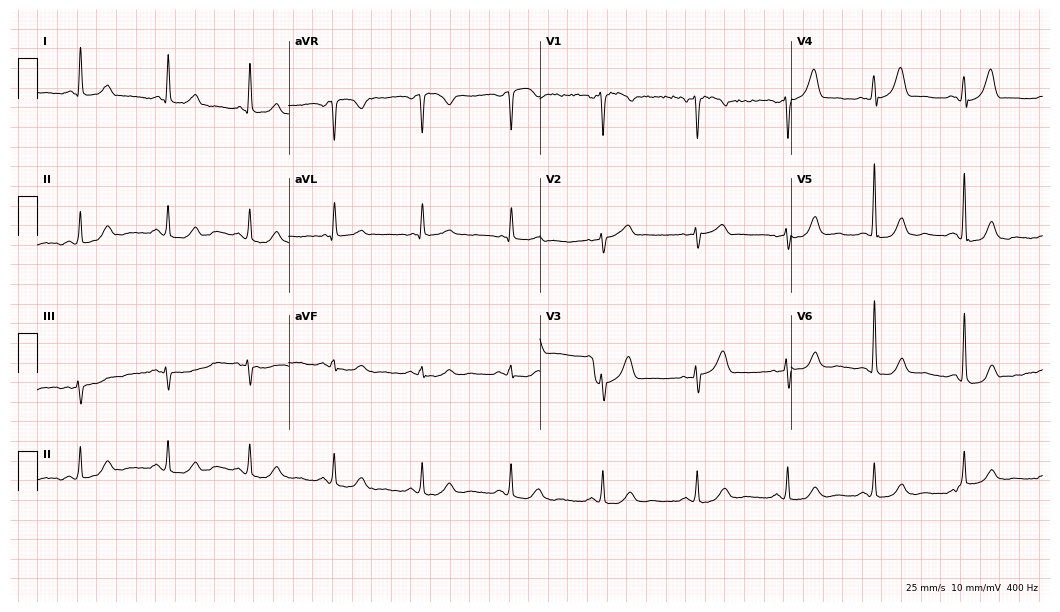
12-lead ECG from a 58-year-old female. No first-degree AV block, right bundle branch block, left bundle branch block, sinus bradycardia, atrial fibrillation or sinus tachycardia recorded for this tracing.